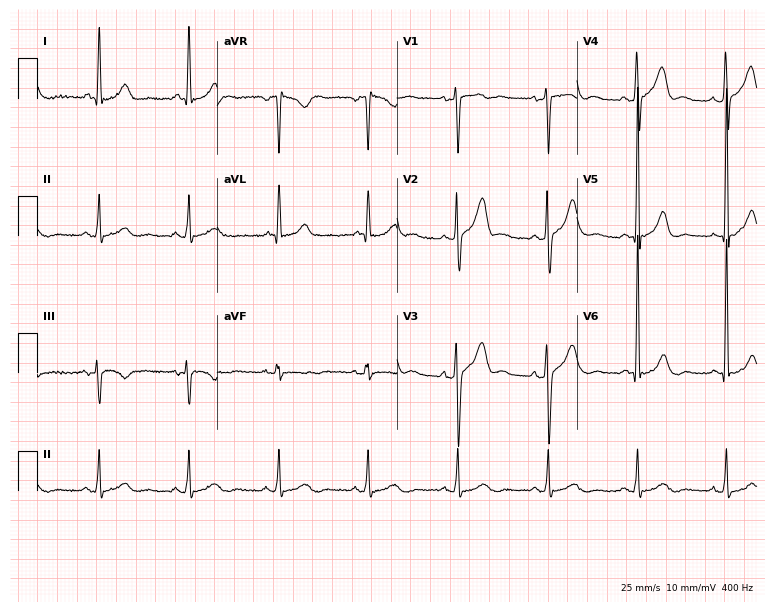
Electrocardiogram (7.3-second recording at 400 Hz), a 62-year-old male patient. Of the six screened findings (first-degree AV block, right bundle branch block, left bundle branch block, sinus bradycardia, atrial fibrillation, sinus tachycardia), none is recorded.